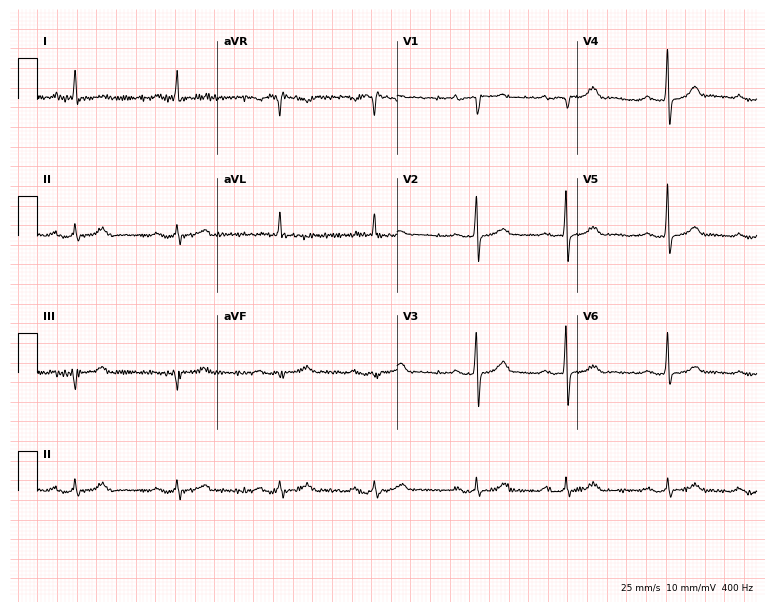
12-lead ECG from a male patient, 75 years old (7.3-second recording at 400 Hz). No first-degree AV block, right bundle branch block (RBBB), left bundle branch block (LBBB), sinus bradycardia, atrial fibrillation (AF) or sinus tachycardia recorded for this tracing. Other findings, if any, are not listed.